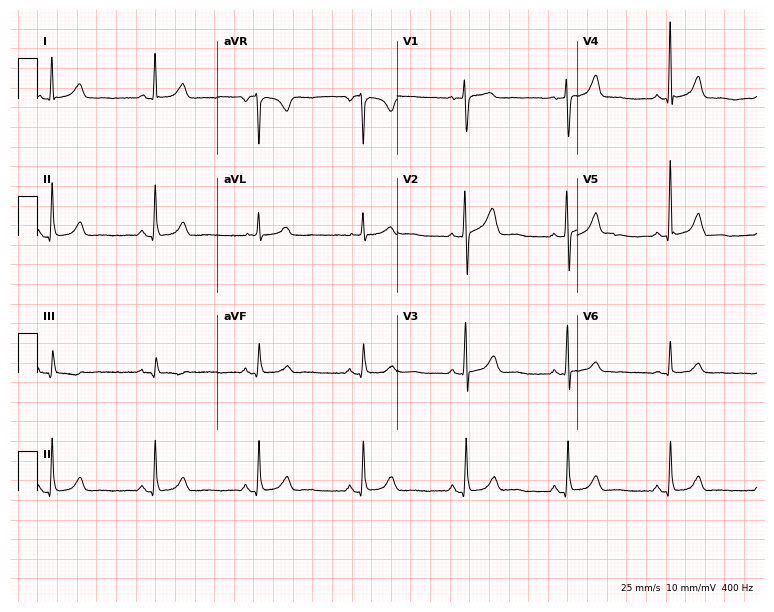
ECG — a 63-year-old female patient. Labelled as a normal ECG.